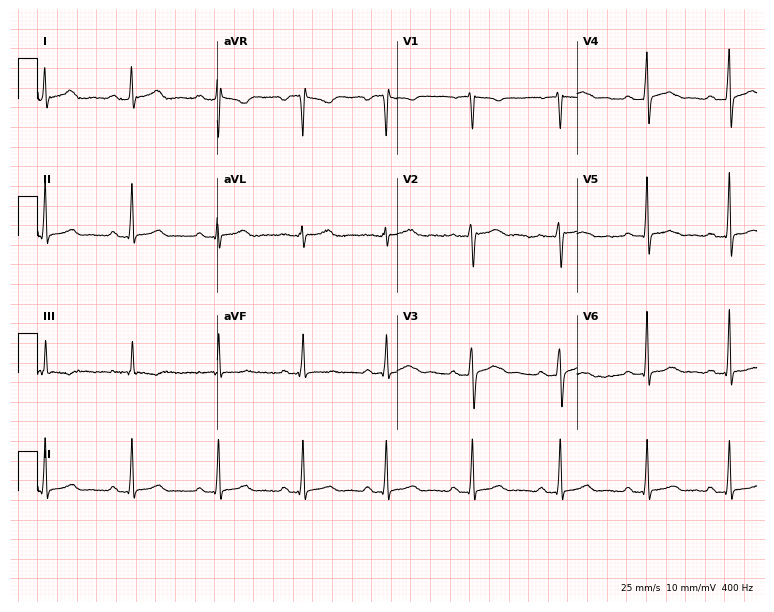
Electrocardiogram (7.3-second recording at 400 Hz), a female patient, 23 years old. Overall reading on record: normal ECG.